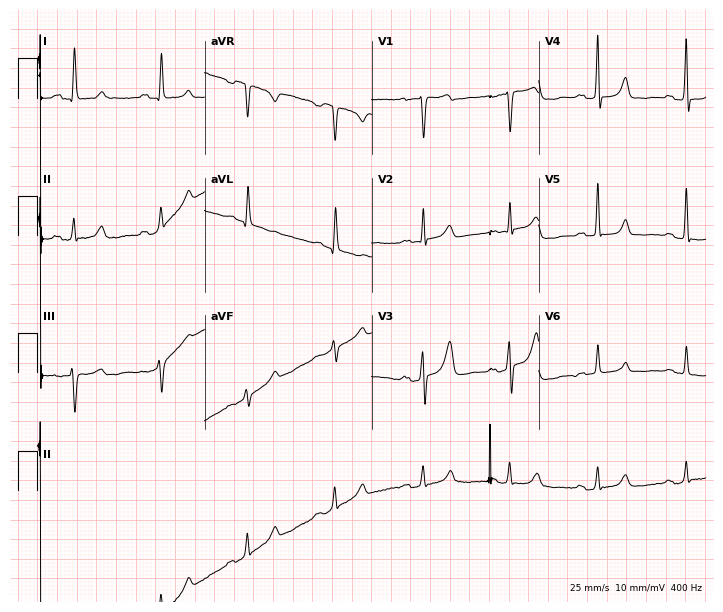
Resting 12-lead electrocardiogram (6.8-second recording at 400 Hz). Patient: a 68-year-old female. Read as a normal ECG.